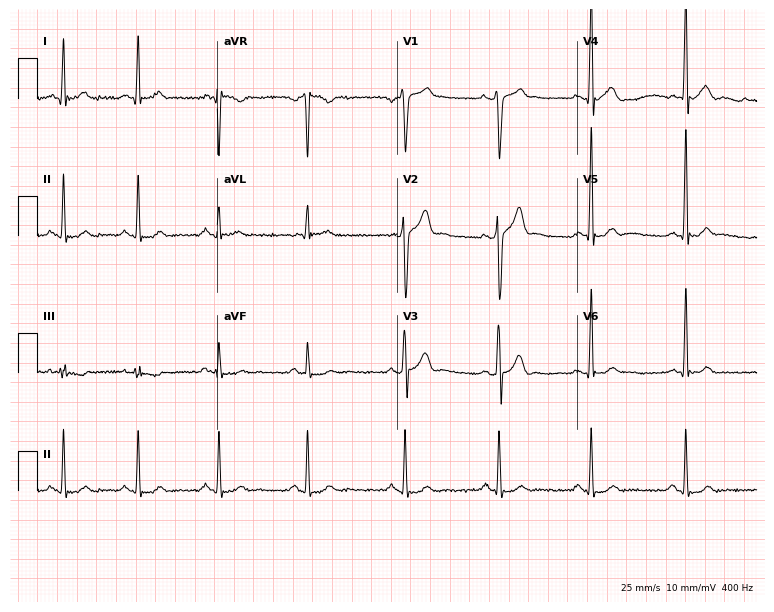
12-lead ECG from a 28-year-old man. Recorded interpretation: within normal limits.